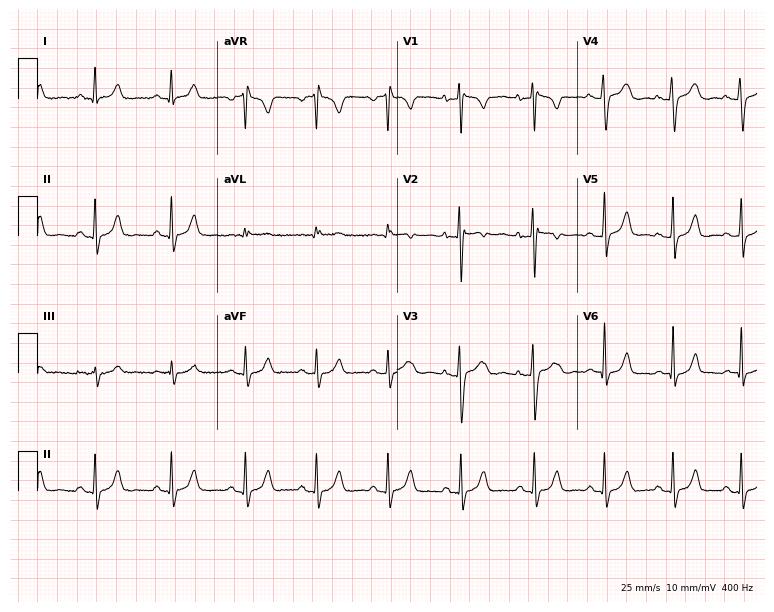
12-lead ECG from a 30-year-old female patient (7.3-second recording at 400 Hz). No first-degree AV block, right bundle branch block, left bundle branch block, sinus bradycardia, atrial fibrillation or sinus tachycardia recorded for this tracing.